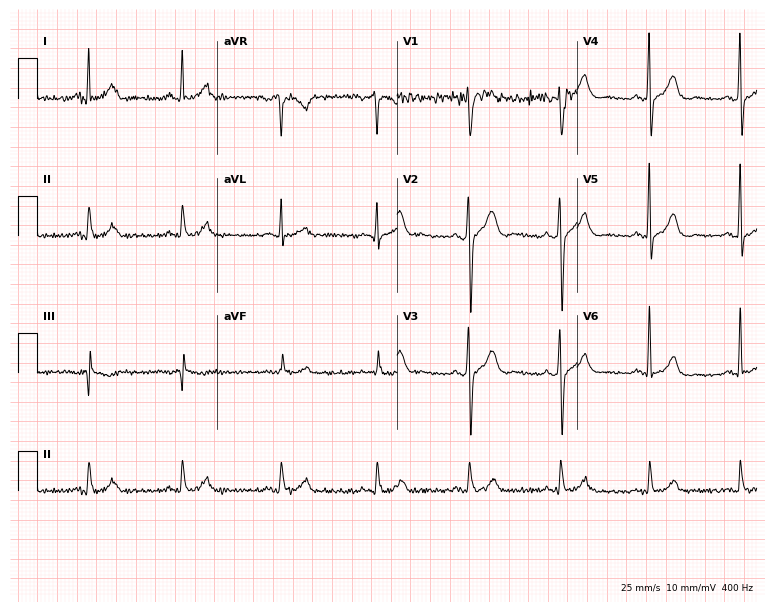
Electrocardiogram, a 36-year-old man. Overall reading on record: normal ECG.